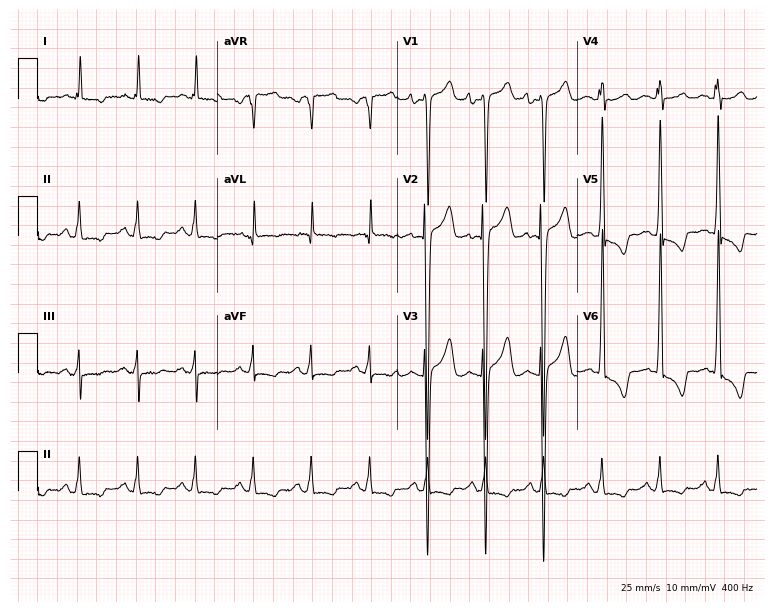
Resting 12-lead electrocardiogram (7.3-second recording at 400 Hz). Patient: a male, 69 years old. The tracing shows sinus tachycardia (a sinus rate of 100 beats per minute or more).